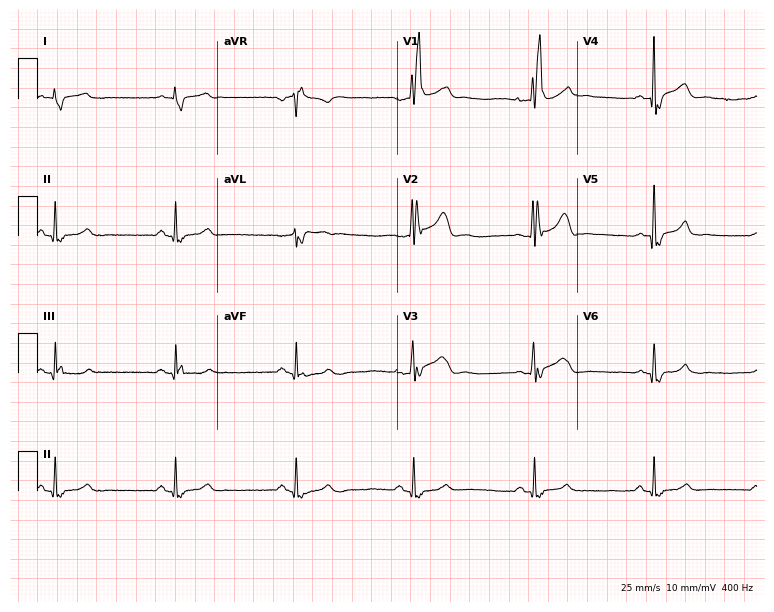
12-lead ECG (7.3-second recording at 400 Hz) from a man, 37 years old. Findings include right bundle branch block.